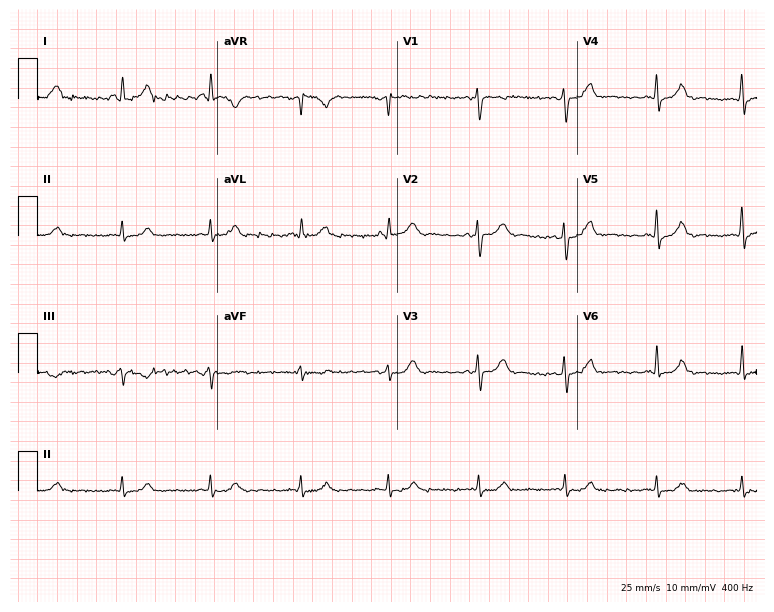
12-lead ECG from a 30-year-old female patient. Screened for six findings — first-degree AV block, right bundle branch block, left bundle branch block, sinus bradycardia, atrial fibrillation, sinus tachycardia — none is recorded.